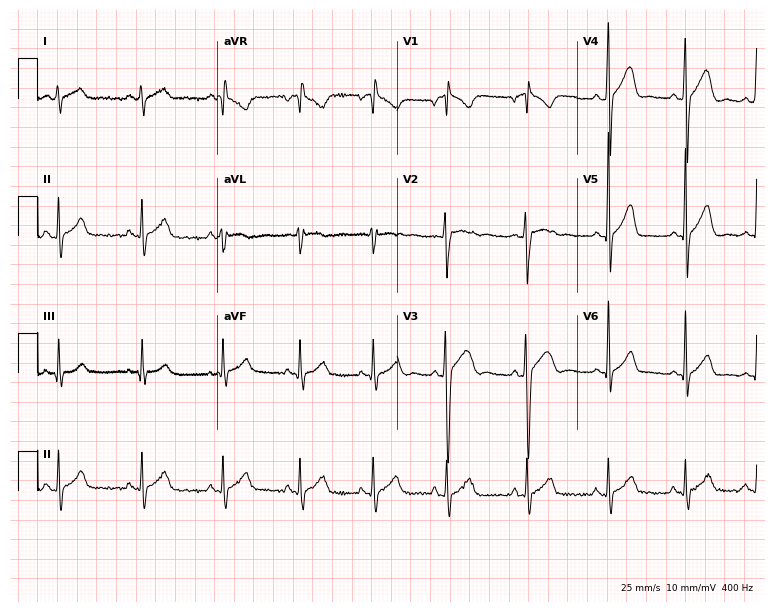
12-lead ECG from a 21-year-old male patient. No first-degree AV block, right bundle branch block (RBBB), left bundle branch block (LBBB), sinus bradycardia, atrial fibrillation (AF) or sinus tachycardia recorded for this tracing.